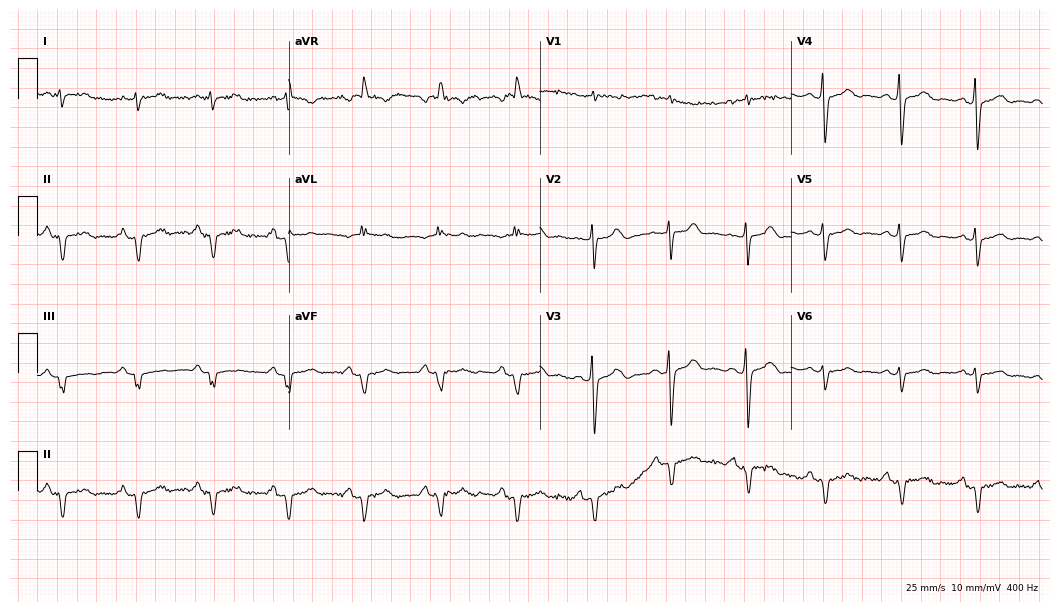
Resting 12-lead electrocardiogram. Patient: a man, 64 years old. None of these six findings is recorded: first-degree AV block, right bundle branch block (RBBB), left bundle branch block (LBBB), sinus bradycardia, atrial fibrillation (AF), sinus tachycardia. Other findings, if any, are not listed.